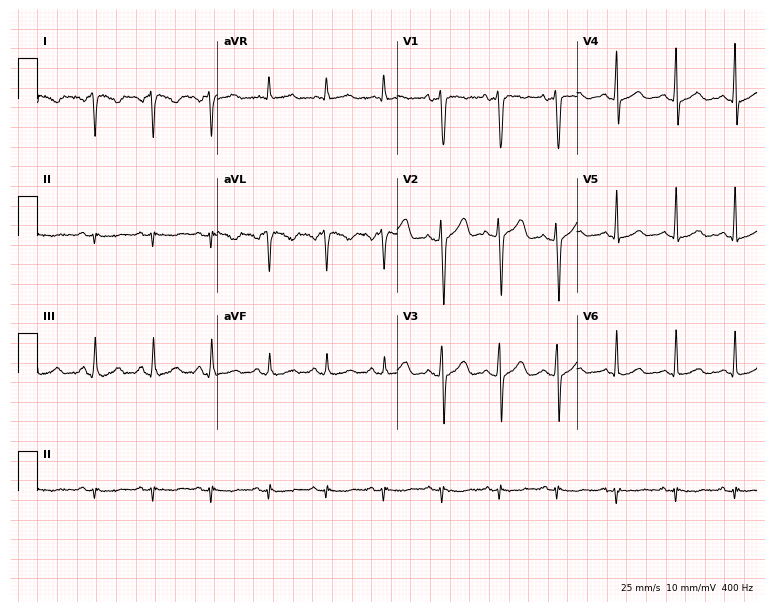
ECG — a woman, 48 years old. Screened for six findings — first-degree AV block, right bundle branch block, left bundle branch block, sinus bradycardia, atrial fibrillation, sinus tachycardia — none is recorded.